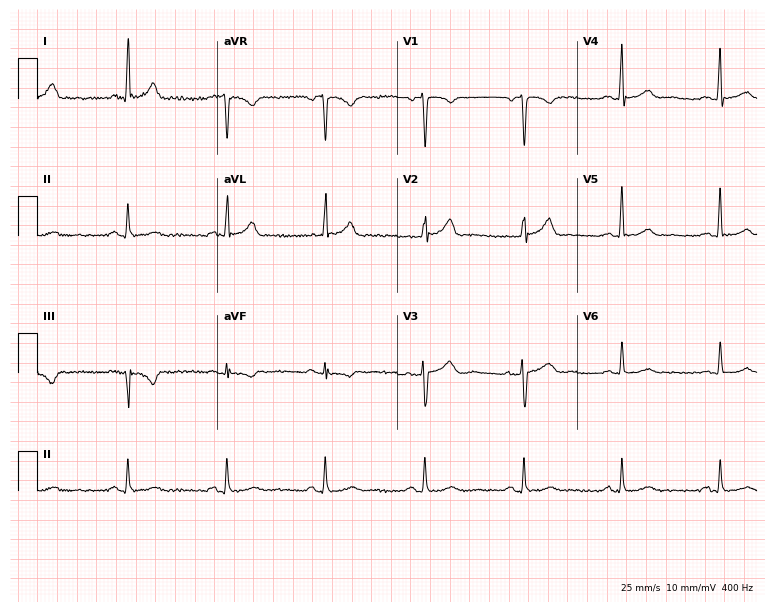
12-lead ECG from a 69-year-old male patient. No first-degree AV block, right bundle branch block (RBBB), left bundle branch block (LBBB), sinus bradycardia, atrial fibrillation (AF) or sinus tachycardia recorded for this tracing. Findings outside these six are not listed.